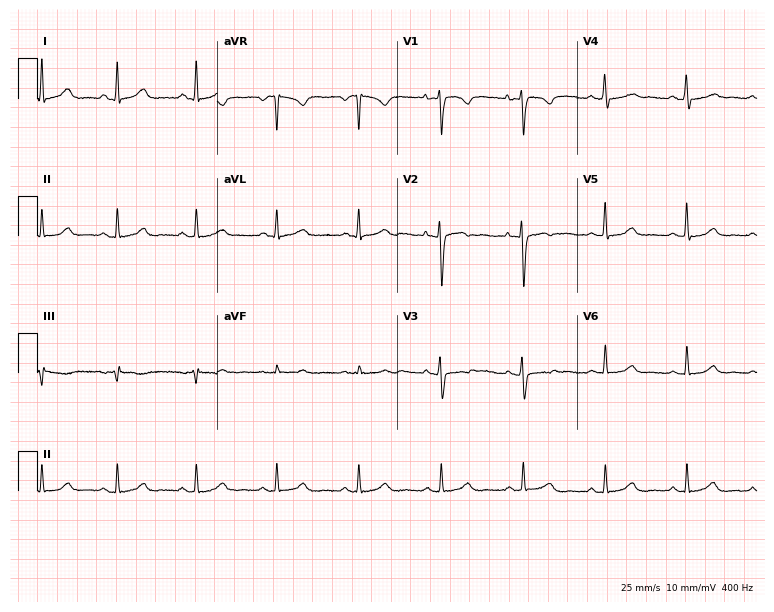
Electrocardiogram, a 37-year-old female. Of the six screened findings (first-degree AV block, right bundle branch block, left bundle branch block, sinus bradycardia, atrial fibrillation, sinus tachycardia), none is recorded.